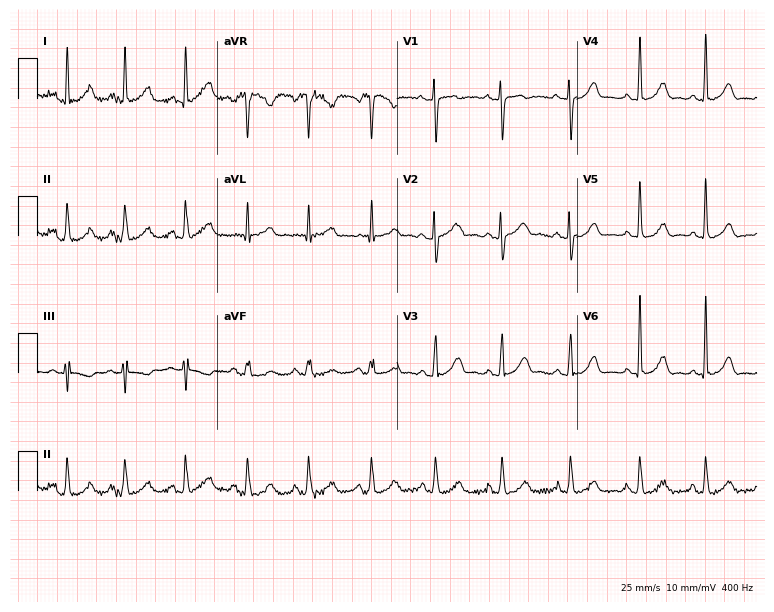
Standard 12-lead ECG recorded from a female, 45 years old. None of these six findings is recorded: first-degree AV block, right bundle branch block (RBBB), left bundle branch block (LBBB), sinus bradycardia, atrial fibrillation (AF), sinus tachycardia.